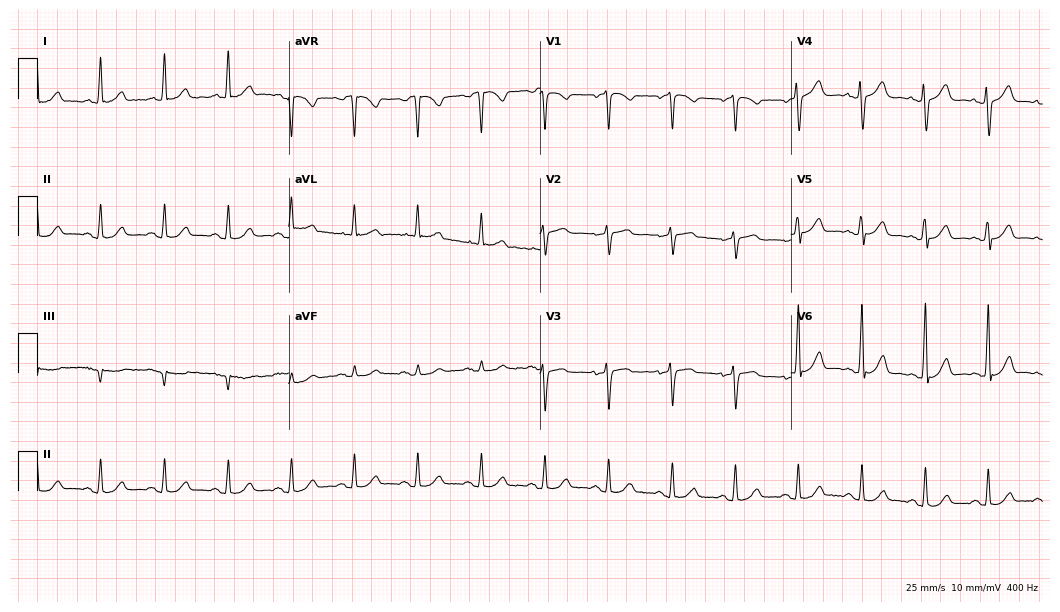
12-lead ECG (10.2-second recording at 400 Hz) from a female patient, 67 years old. Screened for six findings — first-degree AV block, right bundle branch block, left bundle branch block, sinus bradycardia, atrial fibrillation, sinus tachycardia — none is recorded. Findings outside these six are not listed.